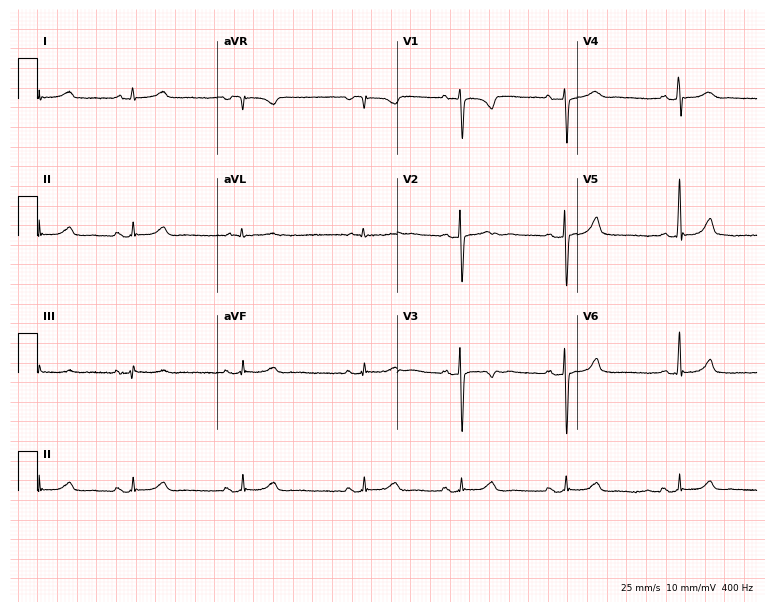
12-lead ECG from a 27-year-old female. No first-degree AV block, right bundle branch block, left bundle branch block, sinus bradycardia, atrial fibrillation or sinus tachycardia recorded for this tracing. Other findings, if any, are not listed.